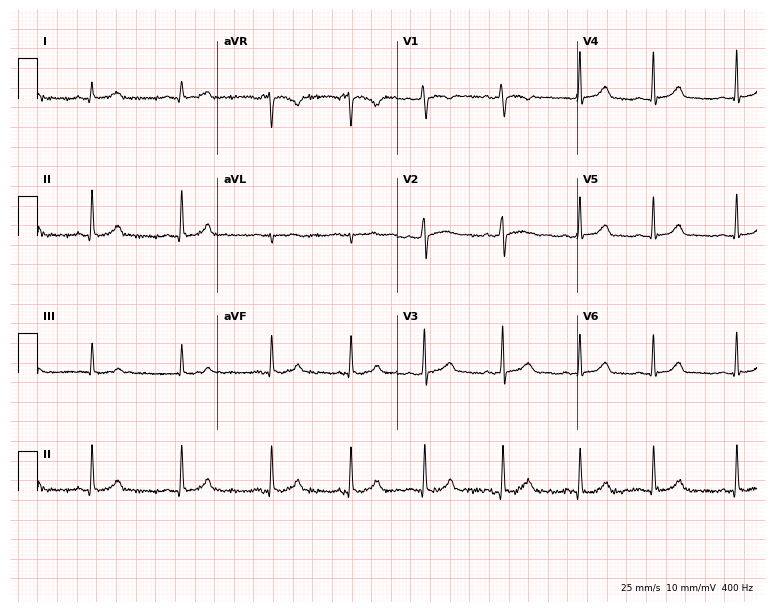
Standard 12-lead ECG recorded from a woman, 20 years old (7.3-second recording at 400 Hz). Read as a normal ECG.